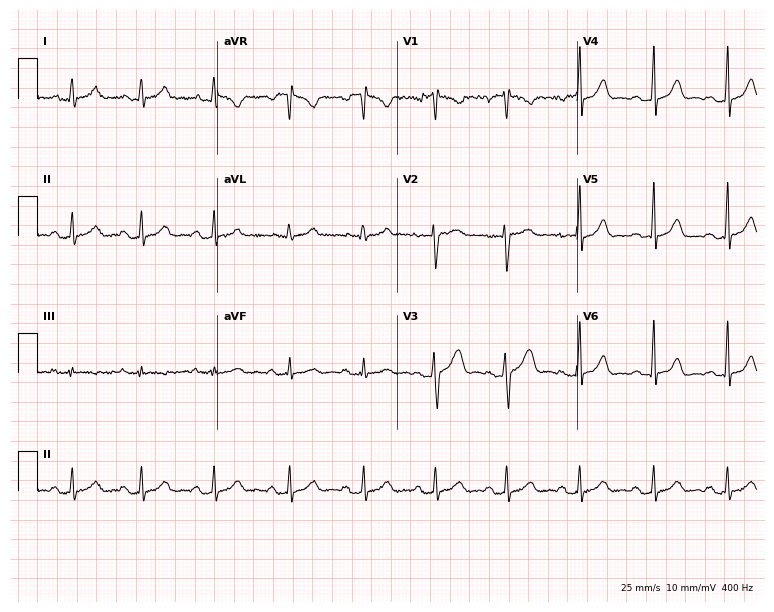
Resting 12-lead electrocardiogram. Patient: a 23-year-old female. None of these six findings is recorded: first-degree AV block, right bundle branch block, left bundle branch block, sinus bradycardia, atrial fibrillation, sinus tachycardia.